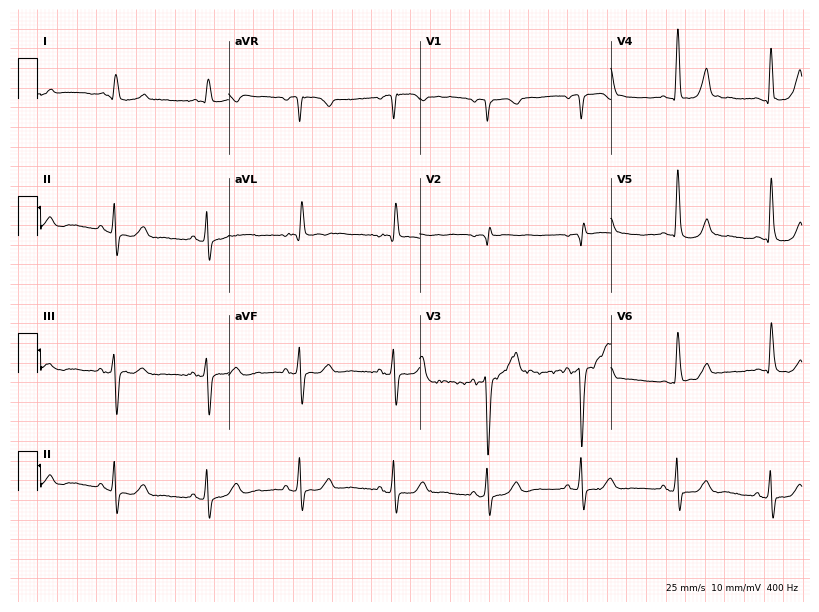
12-lead ECG from a man, 78 years old. No first-degree AV block, right bundle branch block, left bundle branch block, sinus bradycardia, atrial fibrillation or sinus tachycardia recorded for this tracing.